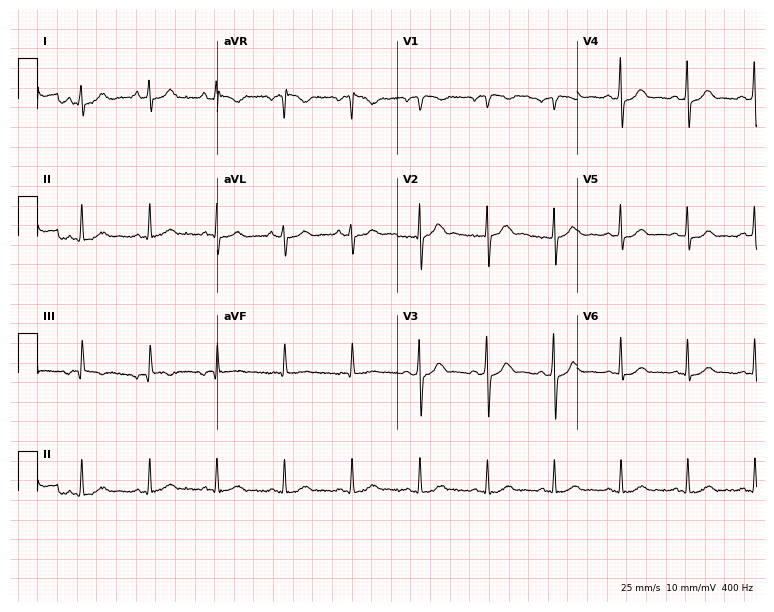
Resting 12-lead electrocardiogram (7.3-second recording at 400 Hz). Patient: a 66-year-old male. Read as a normal ECG.